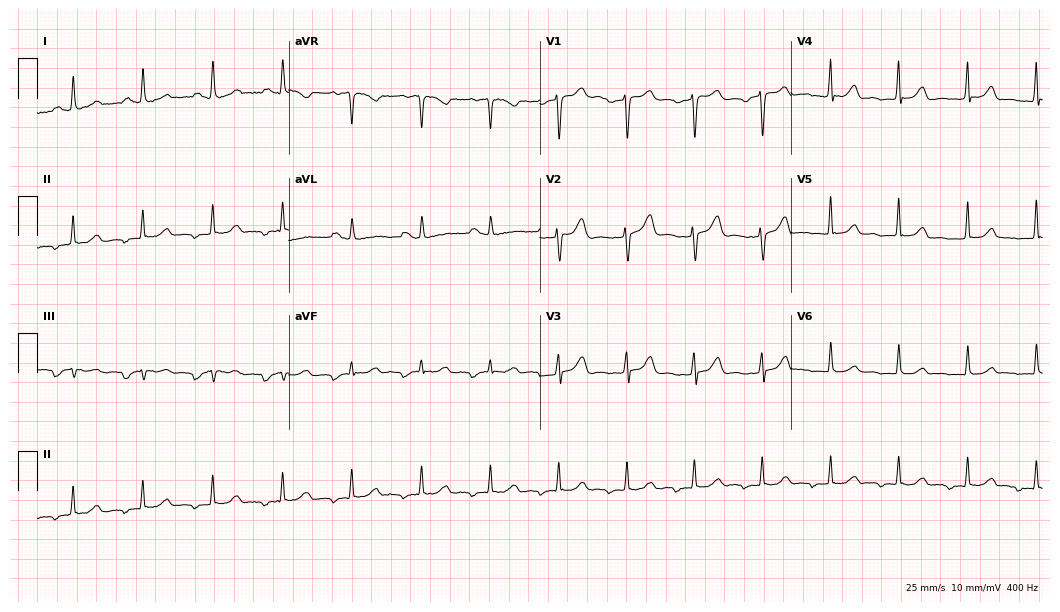
Resting 12-lead electrocardiogram. Patient: a female, 41 years old. None of these six findings is recorded: first-degree AV block, right bundle branch block, left bundle branch block, sinus bradycardia, atrial fibrillation, sinus tachycardia. Only these six findings were labelled.